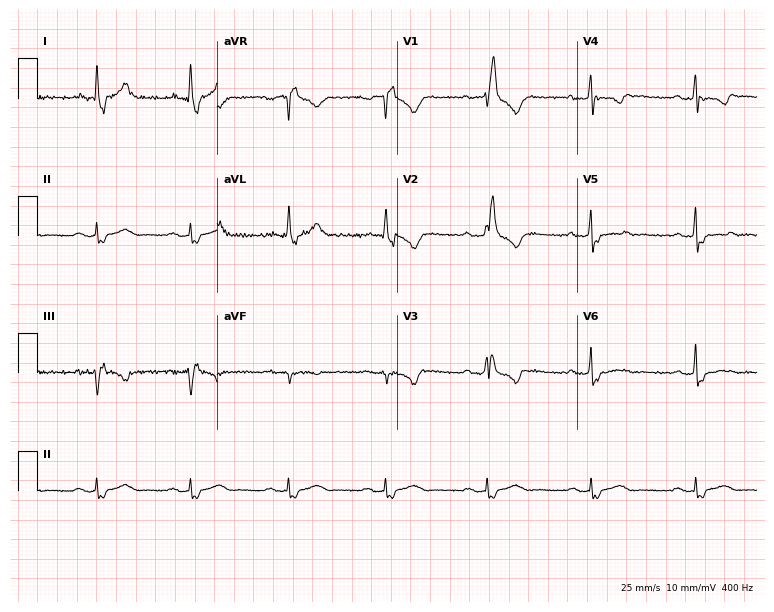
Standard 12-lead ECG recorded from a 44-year-old male (7.3-second recording at 400 Hz). The tracing shows right bundle branch block (RBBB).